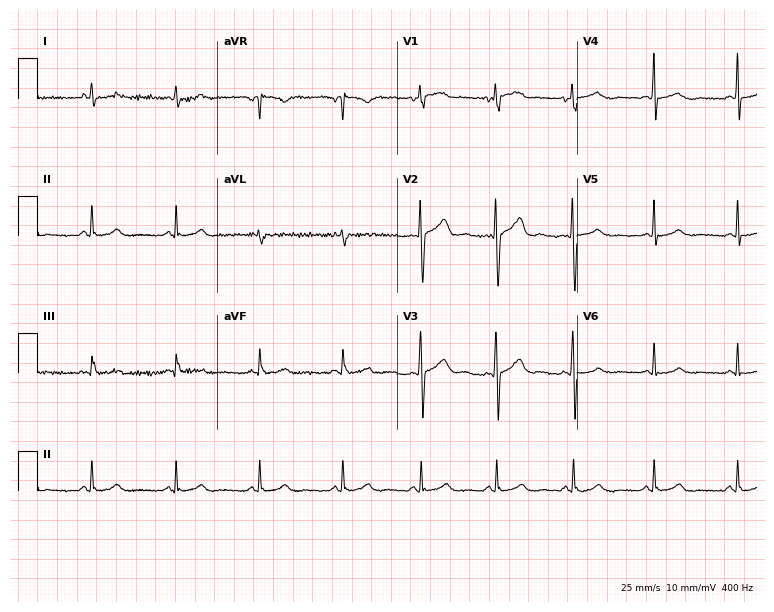
12-lead ECG (7.3-second recording at 400 Hz) from a 29-year-old woman. Screened for six findings — first-degree AV block, right bundle branch block (RBBB), left bundle branch block (LBBB), sinus bradycardia, atrial fibrillation (AF), sinus tachycardia — none is recorded.